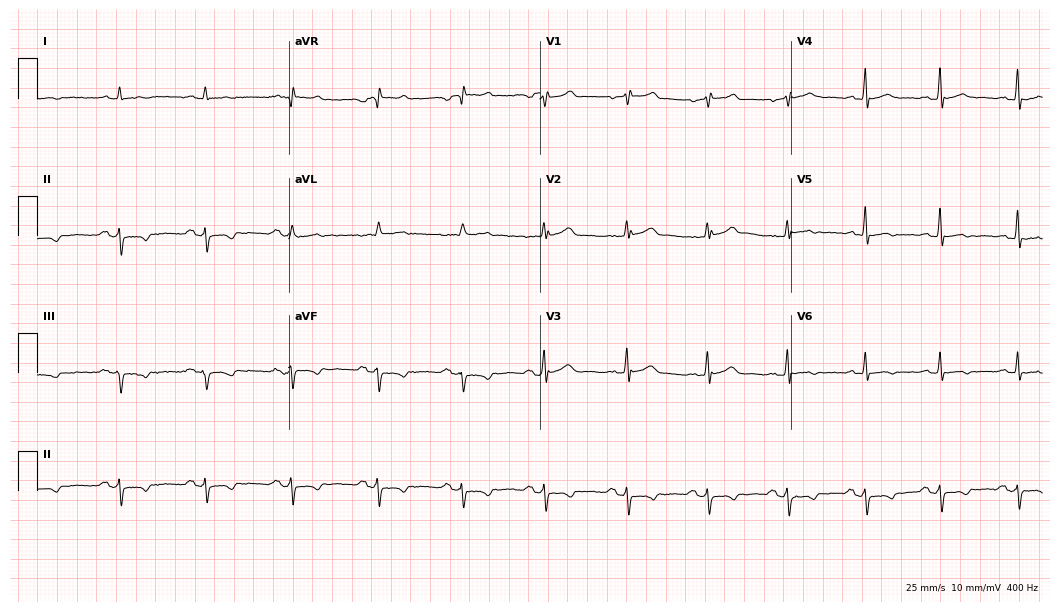
12-lead ECG from a 68-year-old man. Screened for six findings — first-degree AV block, right bundle branch block (RBBB), left bundle branch block (LBBB), sinus bradycardia, atrial fibrillation (AF), sinus tachycardia — none is recorded. Only these six findings were labelled.